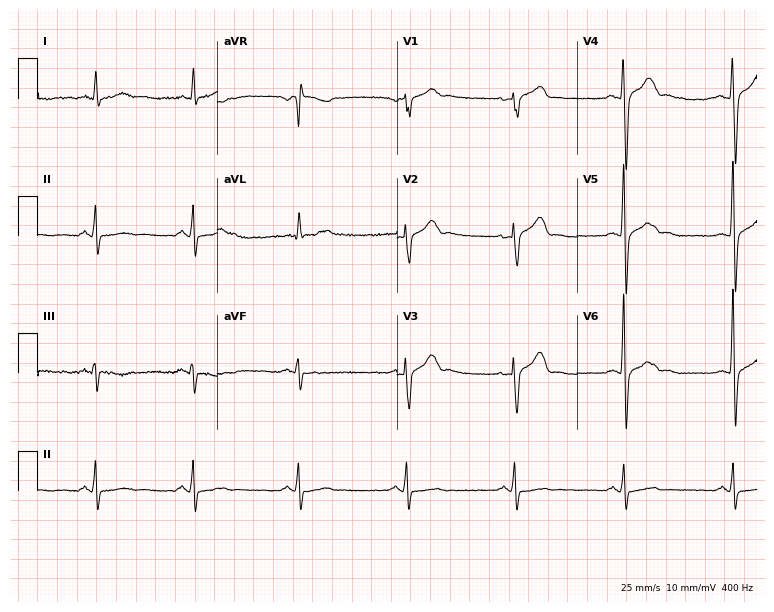
ECG (7.3-second recording at 400 Hz) — a man, 62 years old. Labelled as a normal ECG.